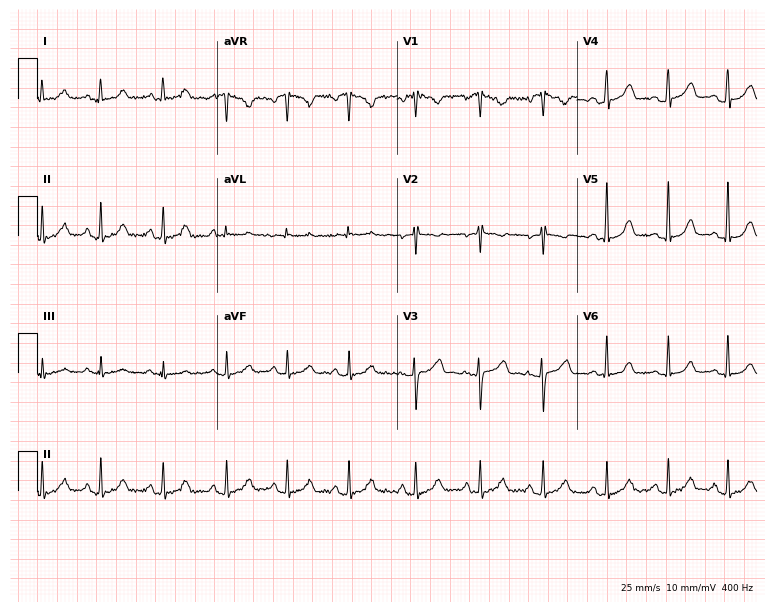
12-lead ECG from a 35-year-old female (7.3-second recording at 400 Hz). No first-degree AV block, right bundle branch block, left bundle branch block, sinus bradycardia, atrial fibrillation or sinus tachycardia recorded for this tracing. Findings outside these six are not listed.